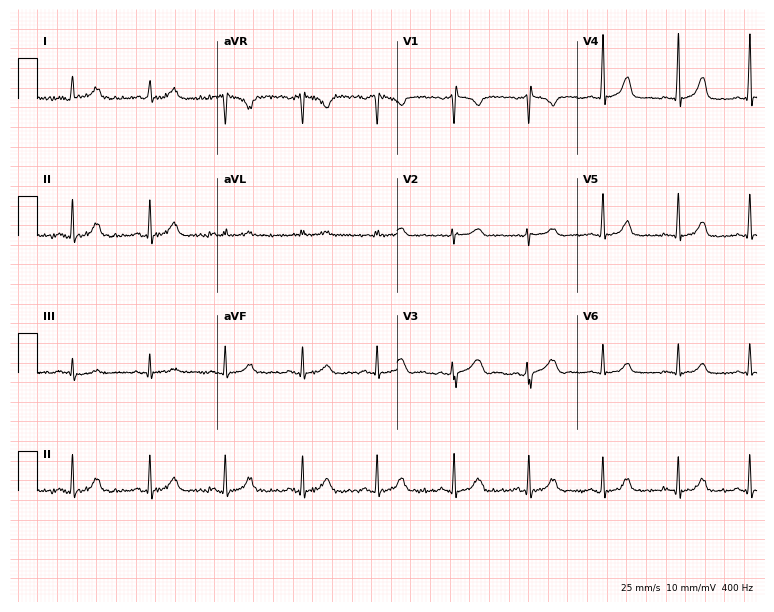
12-lead ECG from a female, 21 years old. Recorded interpretation: within normal limits.